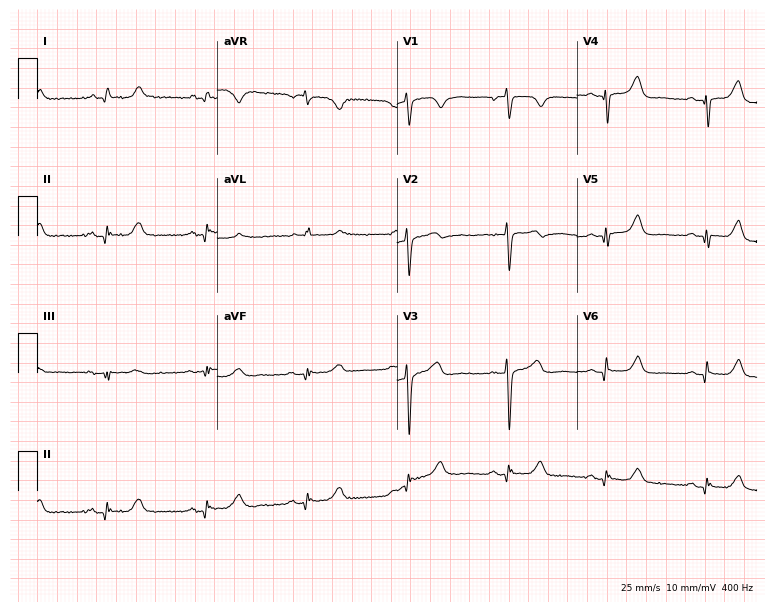
12-lead ECG from a 62-year-old woman. Screened for six findings — first-degree AV block, right bundle branch block (RBBB), left bundle branch block (LBBB), sinus bradycardia, atrial fibrillation (AF), sinus tachycardia — none is recorded.